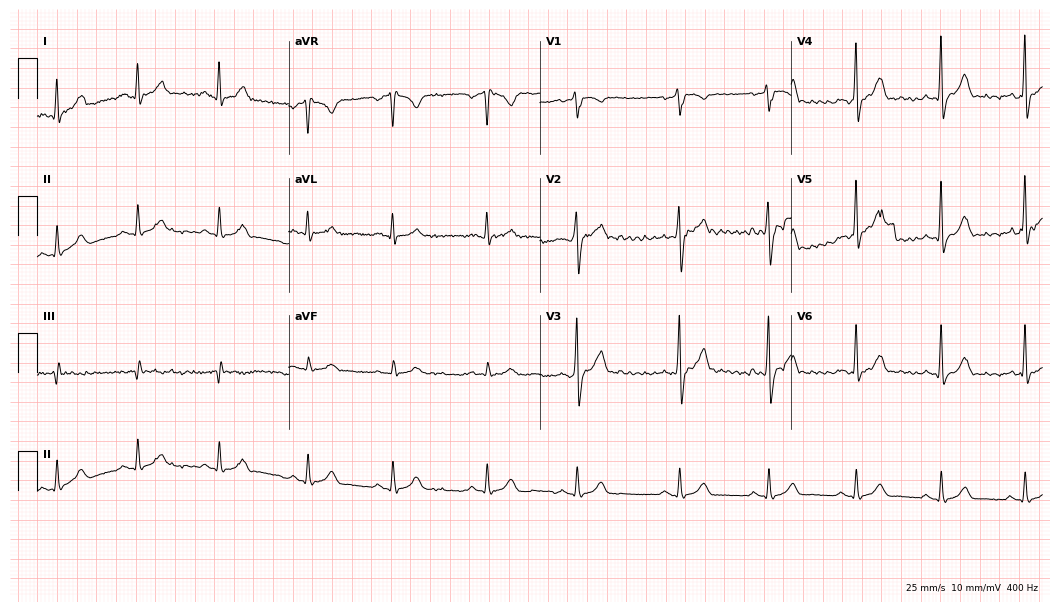
Resting 12-lead electrocardiogram (10.2-second recording at 400 Hz). Patient: a 33-year-old male. Read as a normal ECG.